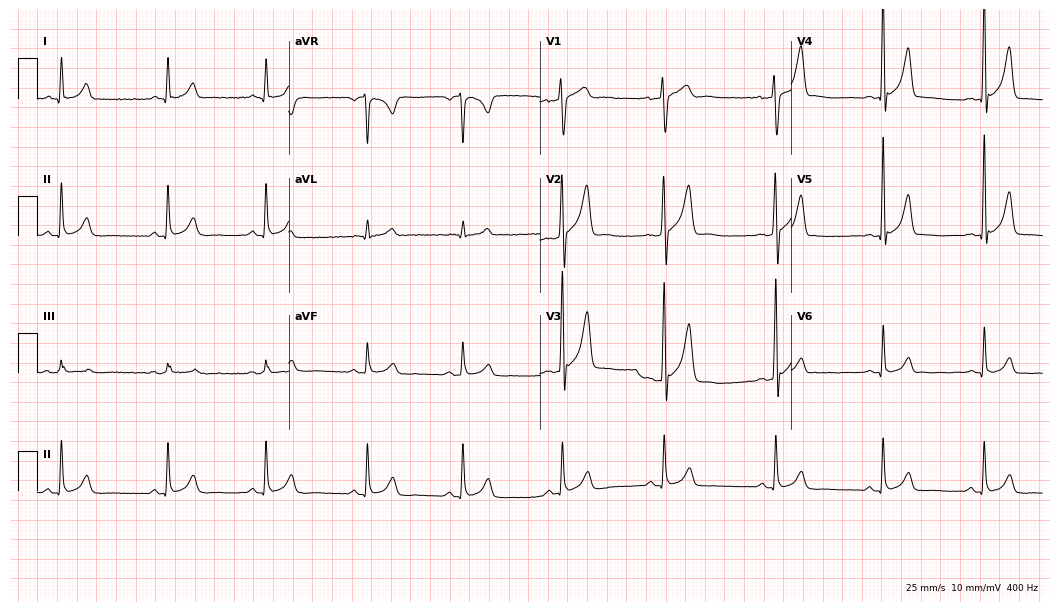
12-lead ECG from a 30-year-old male patient. Labelled as a normal ECG.